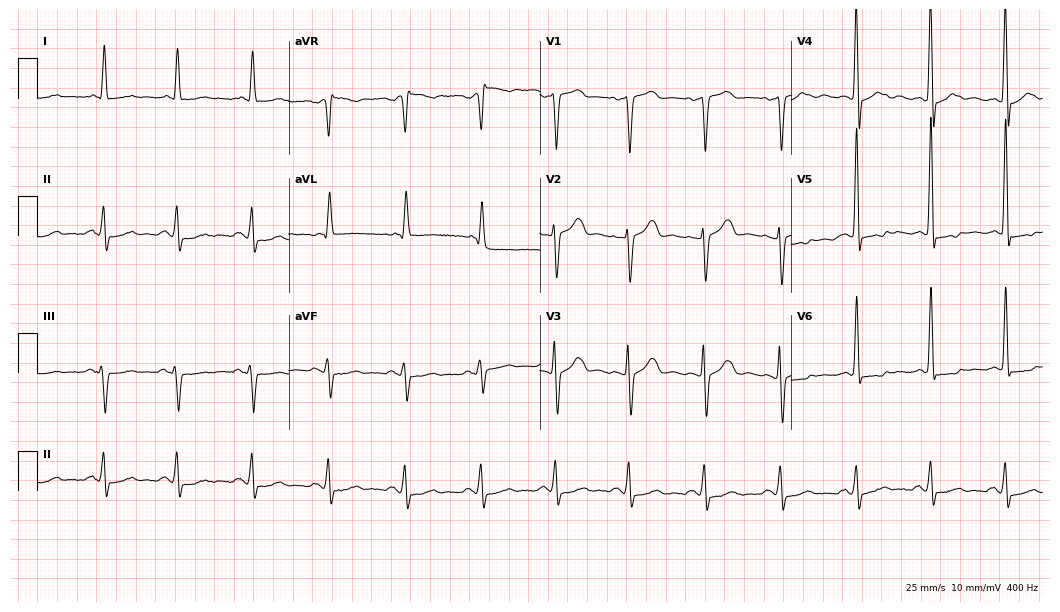
ECG (10.2-second recording at 400 Hz) — a 73-year-old female. Screened for six findings — first-degree AV block, right bundle branch block, left bundle branch block, sinus bradycardia, atrial fibrillation, sinus tachycardia — none is recorded. Other findings, if any, are not listed.